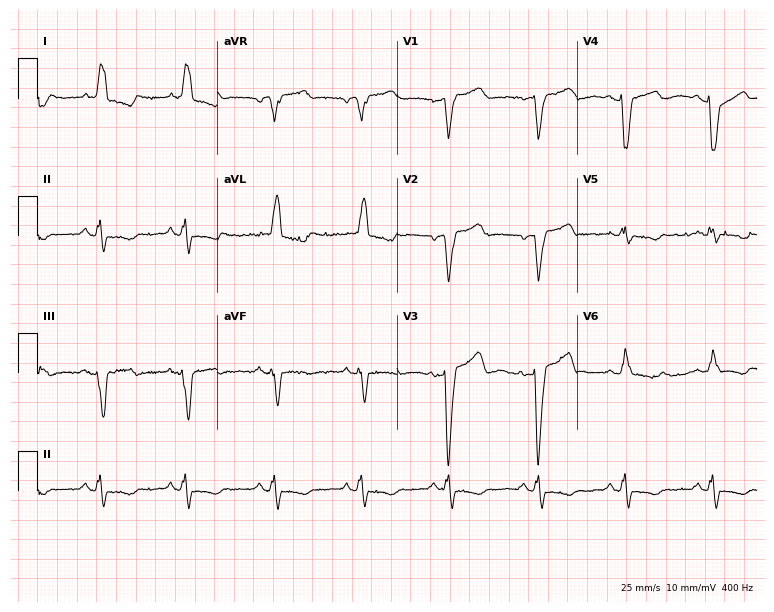
12-lead ECG from a woman, 74 years old. Findings include left bundle branch block.